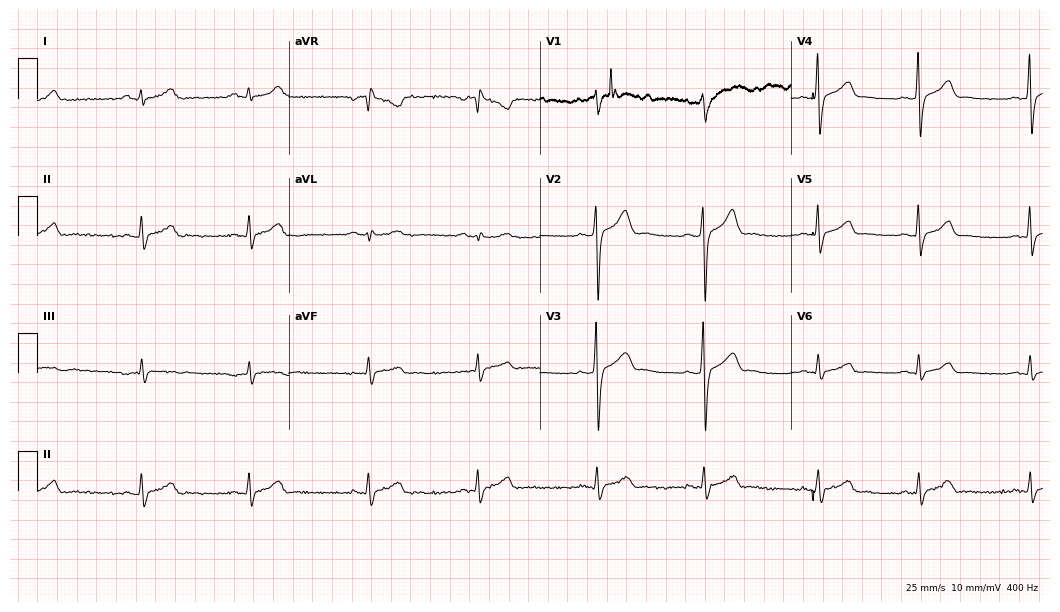
12-lead ECG from a male, 25 years old. Screened for six findings — first-degree AV block, right bundle branch block (RBBB), left bundle branch block (LBBB), sinus bradycardia, atrial fibrillation (AF), sinus tachycardia — none is recorded.